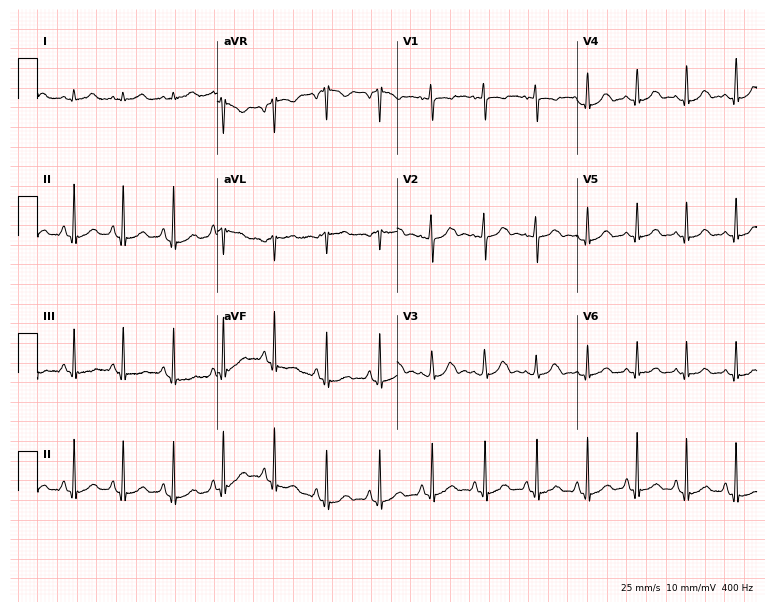
ECG — a female patient, 19 years old. Findings include sinus tachycardia (a sinus rate of 100 beats per minute or more).